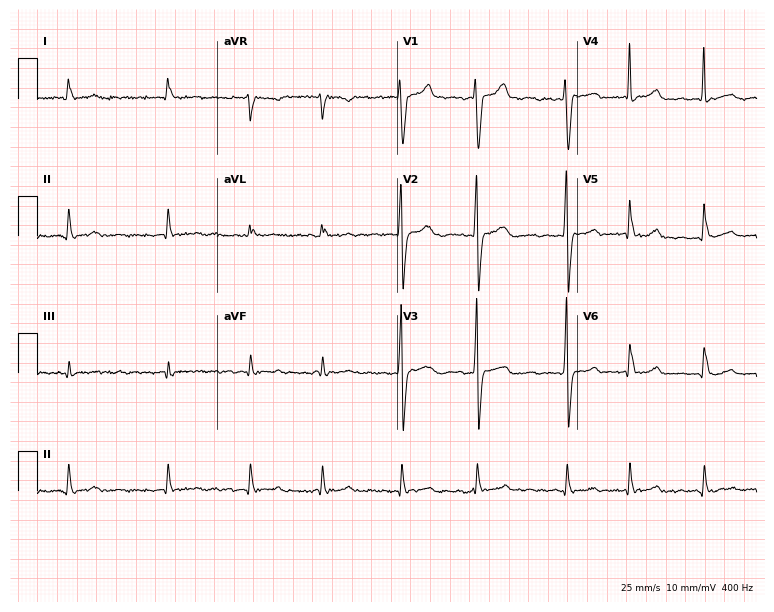
Resting 12-lead electrocardiogram (7.3-second recording at 400 Hz). Patient: a 65-year-old man. The tracing shows atrial fibrillation.